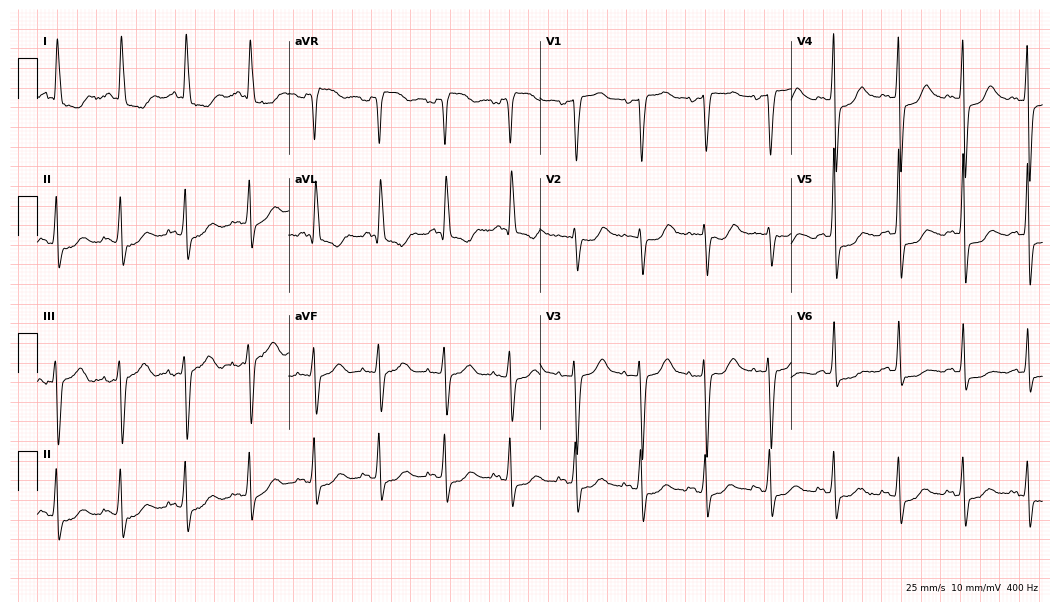
12-lead ECG from a female, 84 years old. No first-degree AV block, right bundle branch block, left bundle branch block, sinus bradycardia, atrial fibrillation or sinus tachycardia recorded for this tracing.